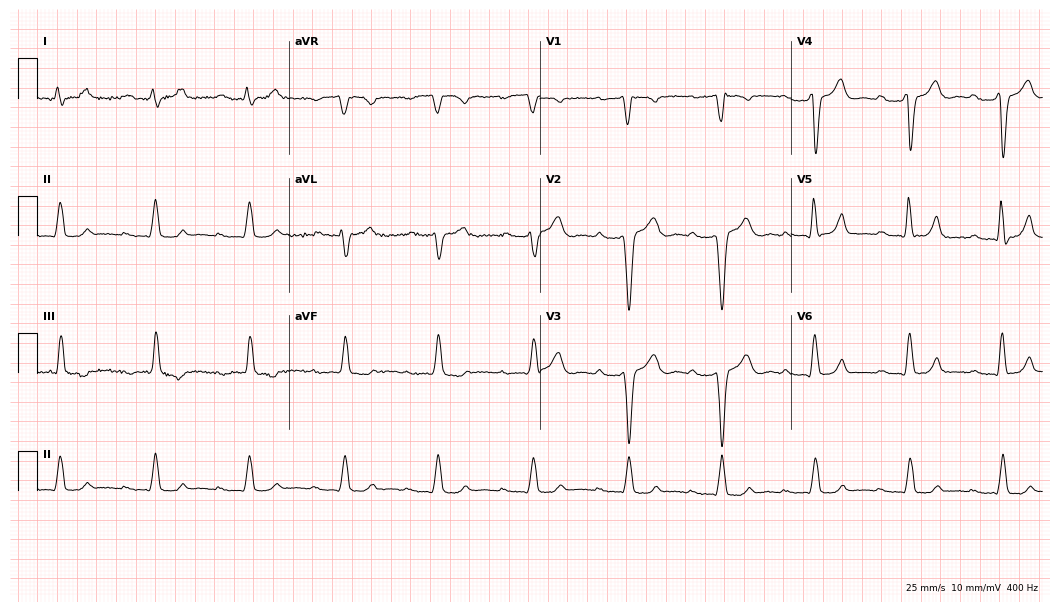
ECG (10.2-second recording at 400 Hz) — an 80-year-old man. Findings include left bundle branch block.